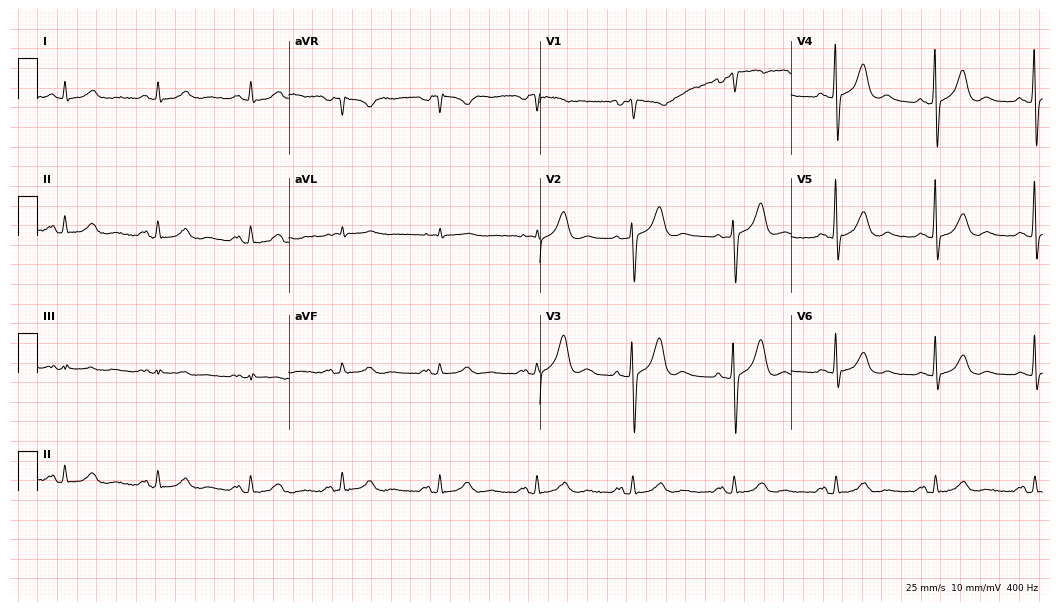
Electrocardiogram, a 65-year-old male. Overall reading on record: normal ECG.